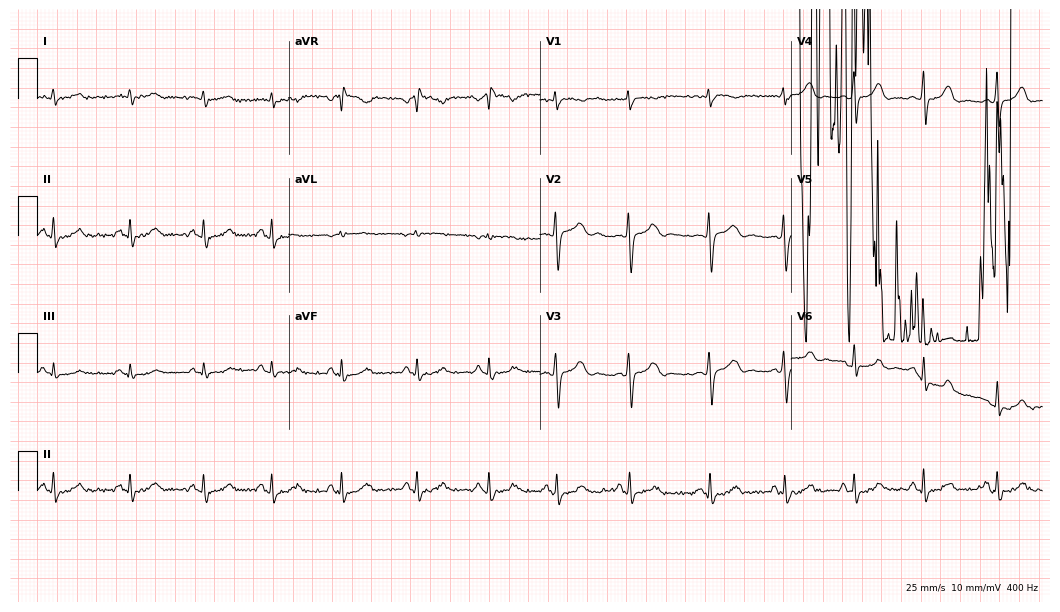
ECG — a 27-year-old woman. Screened for six findings — first-degree AV block, right bundle branch block, left bundle branch block, sinus bradycardia, atrial fibrillation, sinus tachycardia — none is recorded. Other findings, if any, are not listed.